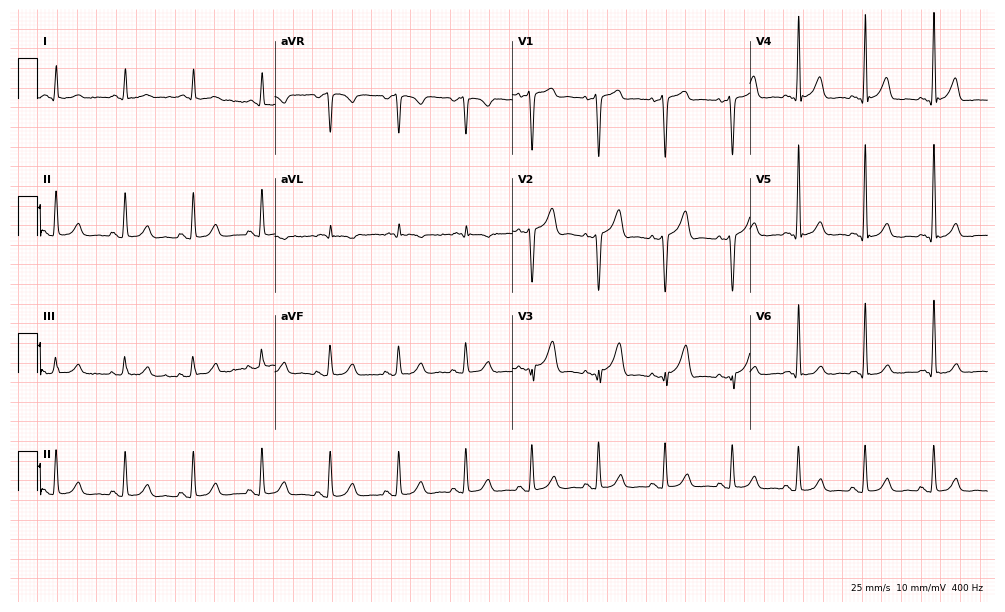
Electrocardiogram (9.7-second recording at 400 Hz), a 48-year-old male. Of the six screened findings (first-degree AV block, right bundle branch block (RBBB), left bundle branch block (LBBB), sinus bradycardia, atrial fibrillation (AF), sinus tachycardia), none is recorded.